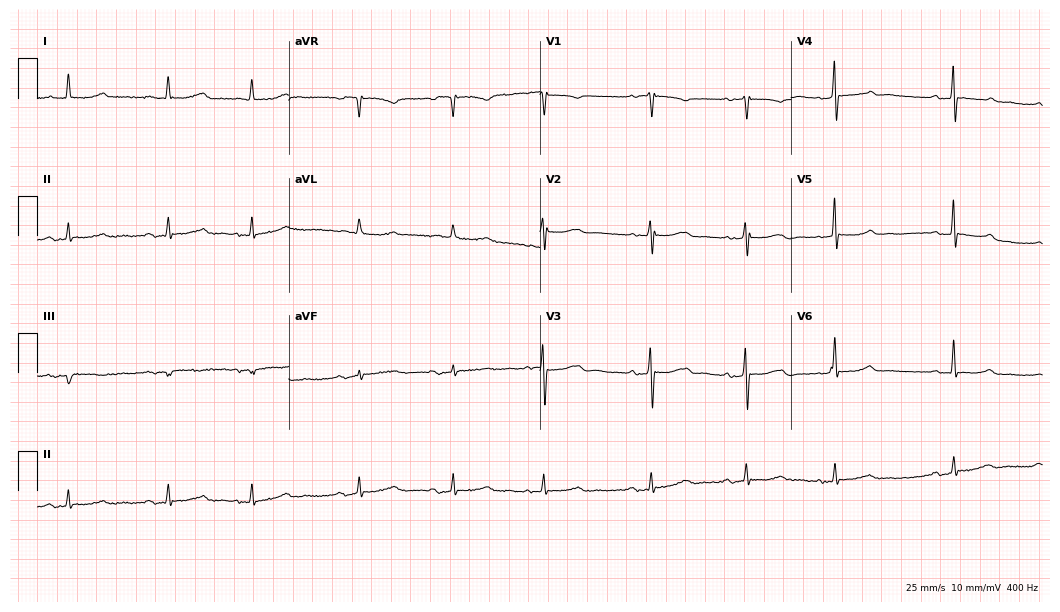
12-lead ECG from an 81-year-old female. Findings include first-degree AV block.